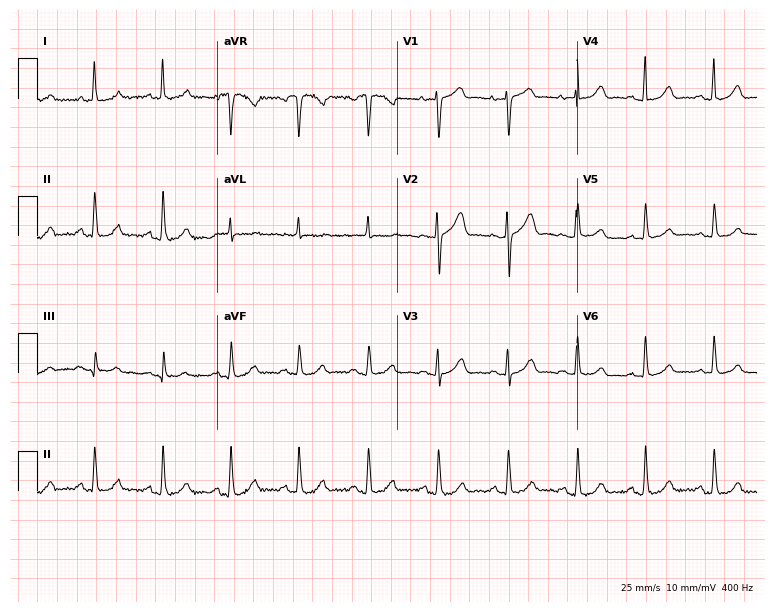
Standard 12-lead ECG recorded from a woman, 66 years old. Read as a normal ECG.